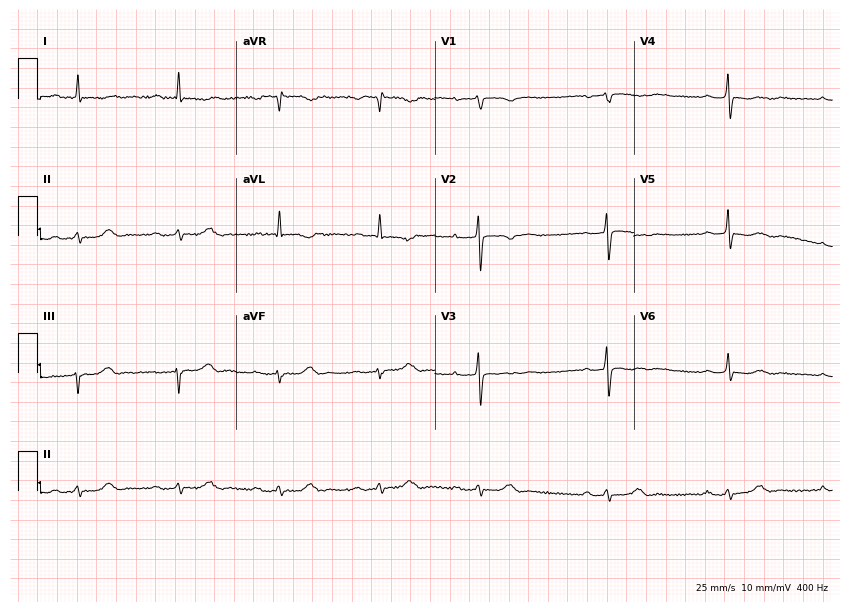
Resting 12-lead electrocardiogram (8.1-second recording at 400 Hz). Patient: a female, 76 years old. The tracing shows first-degree AV block.